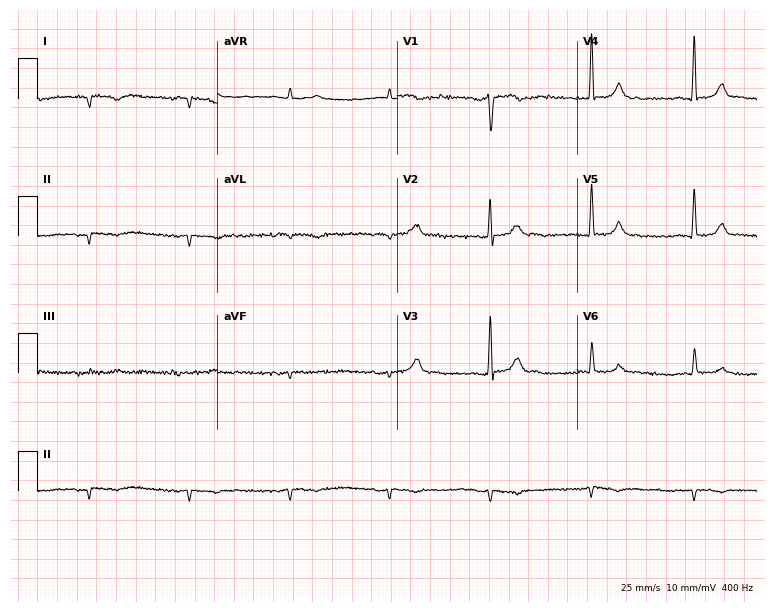
12-lead ECG from a man, 76 years old. No first-degree AV block, right bundle branch block, left bundle branch block, sinus bradycardia, atrial fibrillation or sinus tachycardia recorded for this tracing.